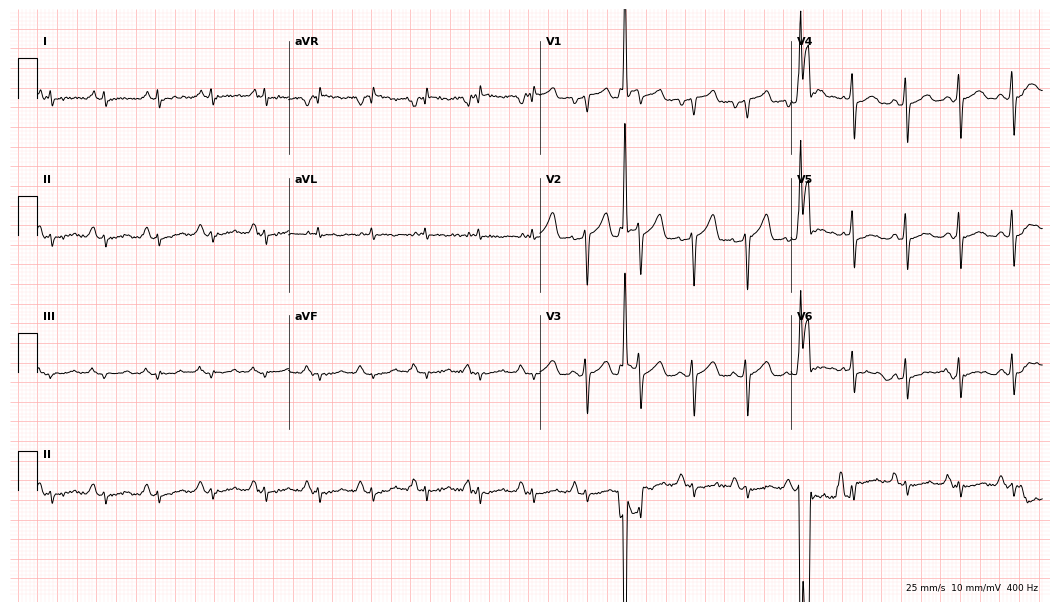
Electrocardiogram, a male, 58 years old. Interpretation includes sinus tachycardia (a sinus rate of 100 beats per minute or more).